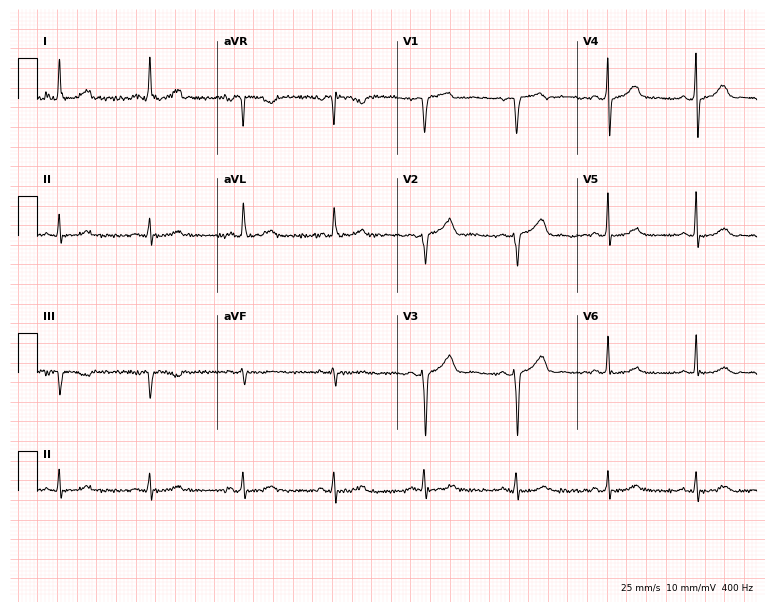
Standard 12-lead ECG recorded from a 48-year-old female (7.3-second recording at 400 Hz). None of these six findings is recorded: first-degree AV block, right bundle branch block (RBBB), left bundle branch block (LBBB), sinus bradycardia, atrial fibrillation (AF), sinus tachycardia. Other findings, if any, are not listed.